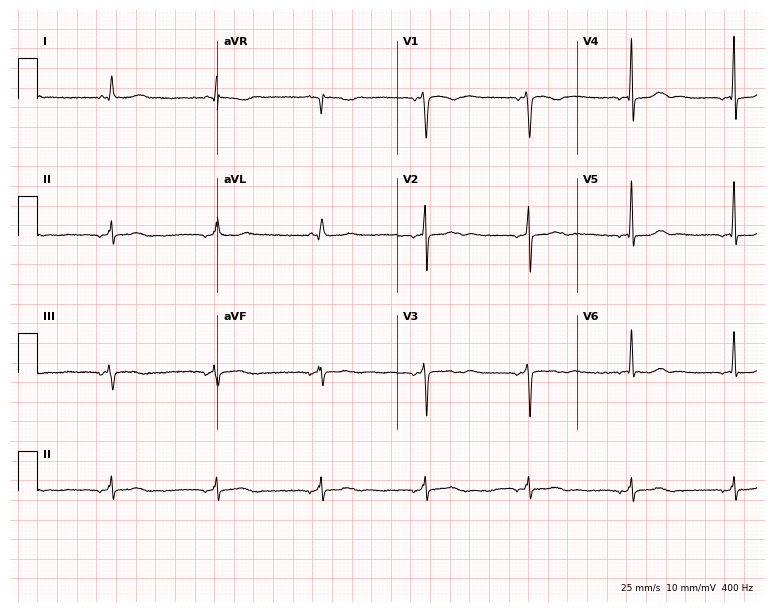
ECG (7.3-second recording at 400 Hz) — a 73-year-old male patient. Screened for six findings — first-degree AV block, right bundle branch block, left bundle branch block, sinus bradycardia, atrial fibrillation, sinus tachycardia — none is recorded. Findings outside these six are not listed.